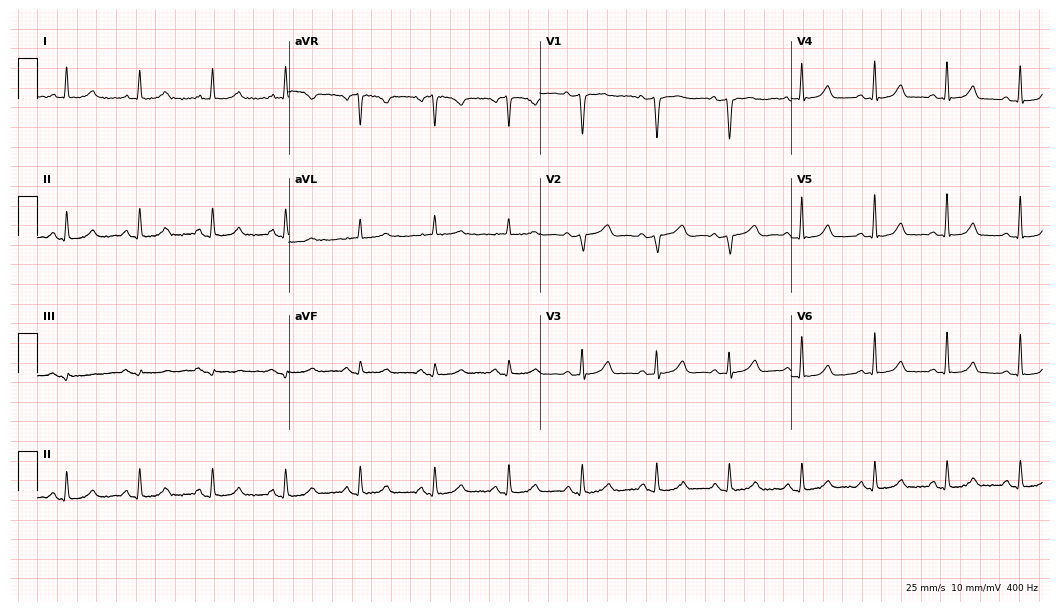
12-lead ECG from a female, 50 years old. Labelled as a normal ECG.